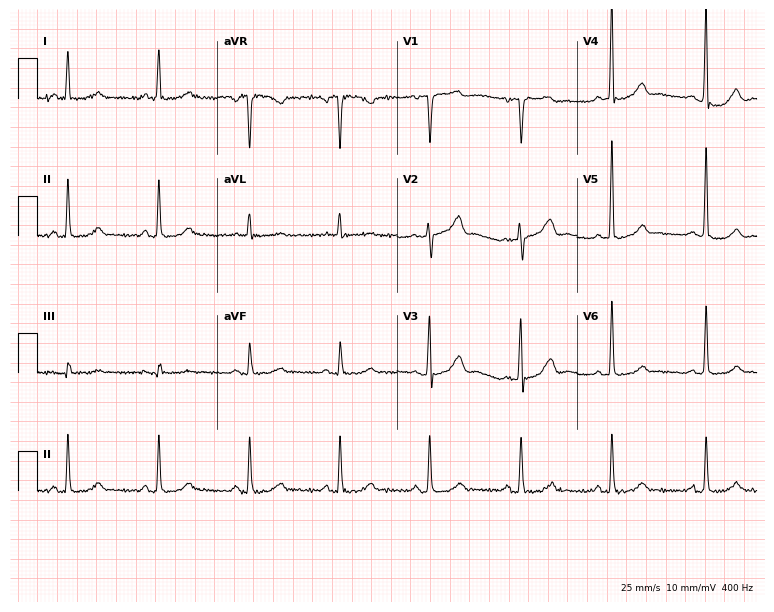
12-lead ECG from a female patient, 67 years old (7.3-second recording at 400 Hz). No first-degree AV block, right bundle branch block (RBBB), left bundle branch block (LBBB), sinus bradycardia, atrial fibrillation (AF) or sinus tachycardia recorded for this tracing.